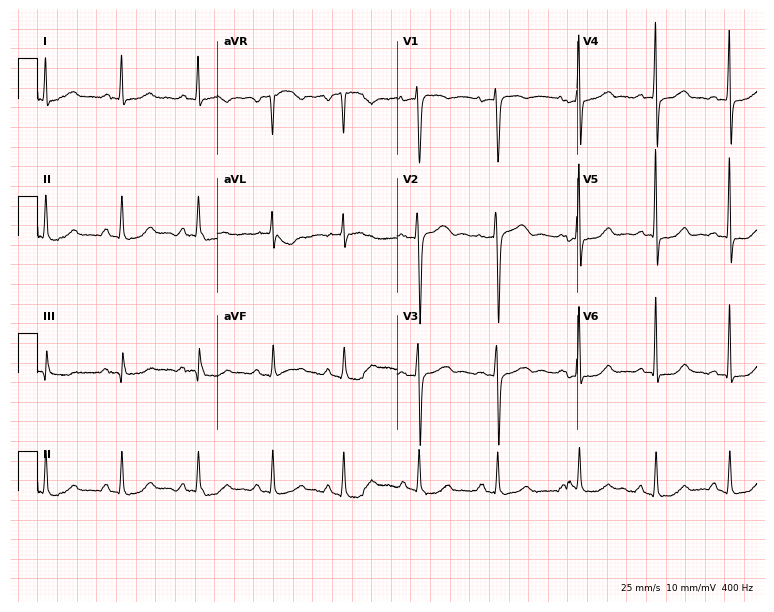
12-lead ECG from a female, 56 years old. Recorded interpretation: within normal limits.